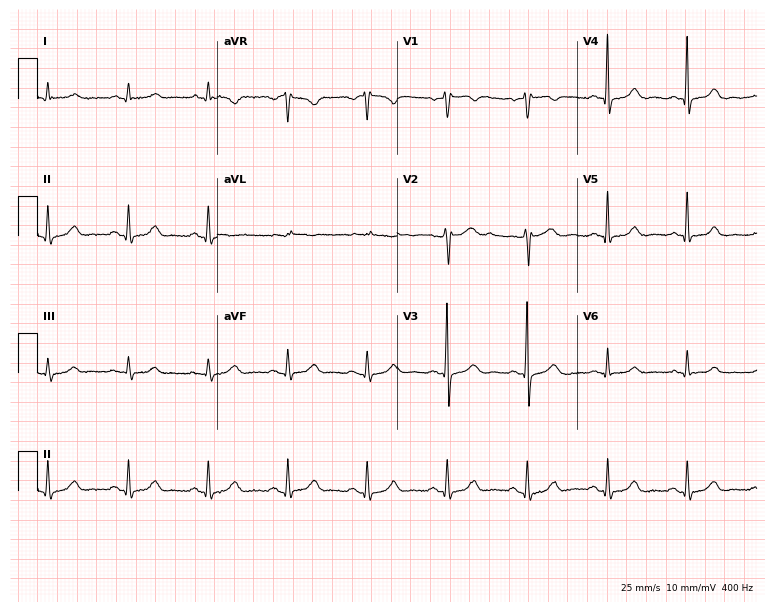
Electrocardiogram, a 57-year-old female patient. Of the six screened findings (first-degree AV block, right bundle branch block, left bundle branch block, sinus bradycardia, atrial fibrillation, sinus tachycardia), none is recorded.